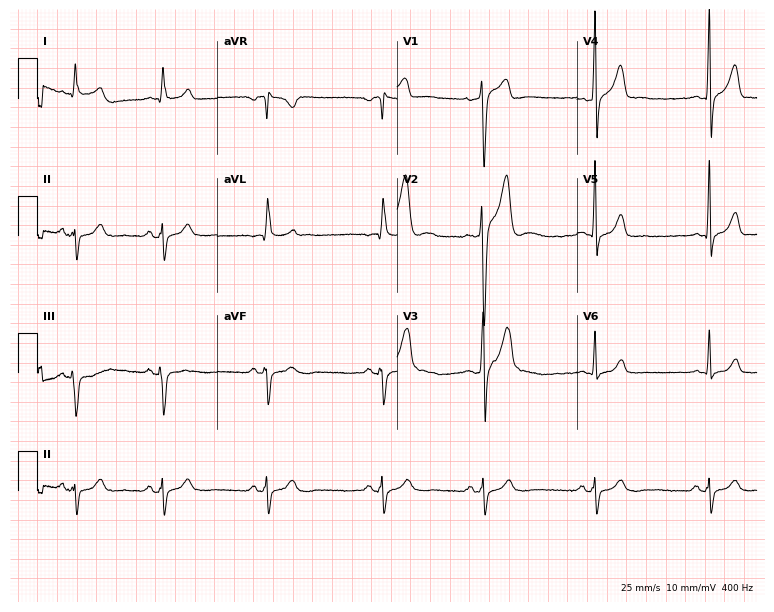
12-lead ECG from a 33-year-old male (7.3-second recording at 400 Hz). No first-degree AV block, right bundle branch block (RBBB), left bundle branch block (LBBB), sinus bradycardia, atrial fibrillation (AF) or sinus tachycardia recorded for this tracing. Findings outside these six are not listed.